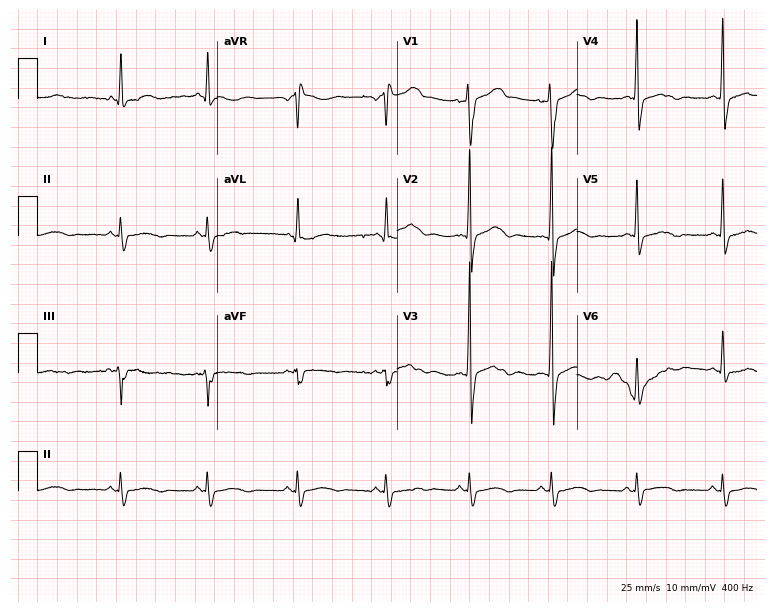
Electrocardiogram, a 49-year-old man. Of the six screened findings (first-degree AV block, right bundle branch block, left bundle branch block, sinus bradycardia, atrial fibrillation, sinus tachycardia), none is recorded.